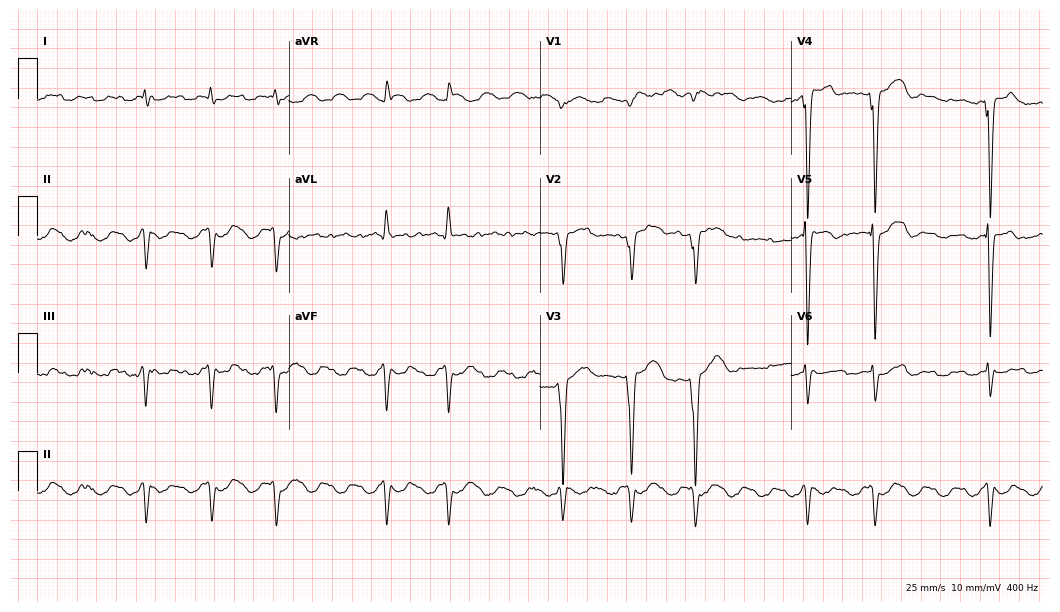
Standard 12-lead ECG recorded from a male patient, 53 years old. None of these six findings is recorded: first-degree AV block, right bundle branch block, left bundle branch block, sinus bradycardia, atrial fibrillation, sinus tachycardia. Only these six findings were labelled.